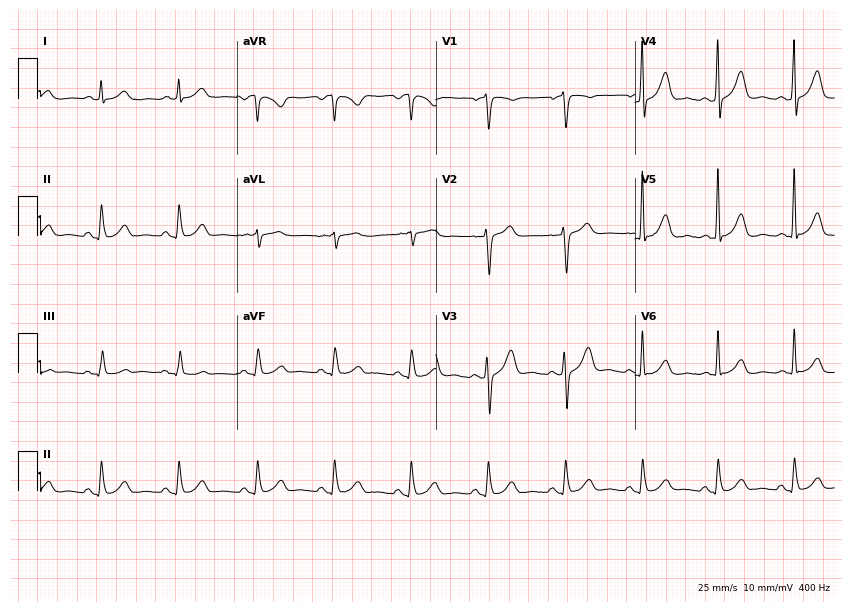
12-lead ECG from a 61-year-old male (8.1-second recording at 400 Hz). No first-degree AV block, right bundle branch block, left bundle branch block, sinus bradycardia, atrial fibrillation or sinus tachycardia recorded for this tracing.